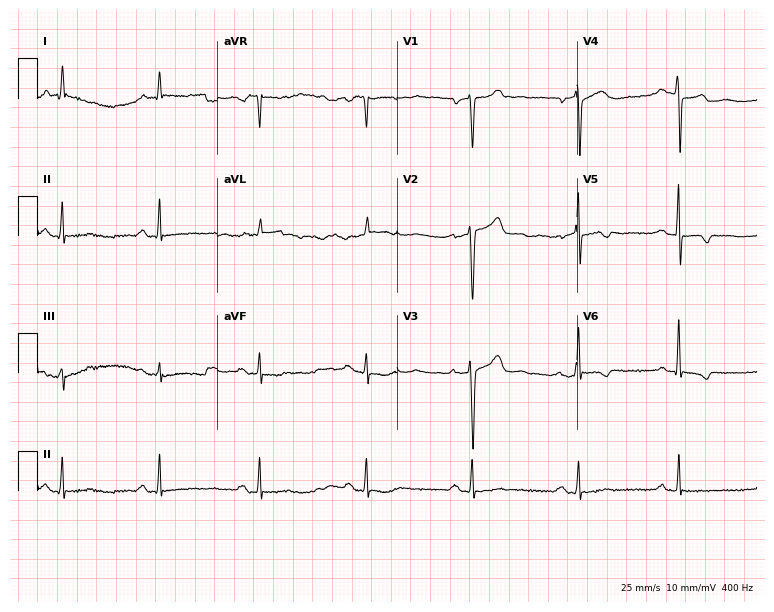
Electrocardiogram, a 65-year-old man. Of the six screened findings (first-degree AV block, right bundle branch block, left bundle branch block, sinus bradycardia, atrial fibrillation, sinus tachycardia), none is recorded. Other findings, if any, are not listed.